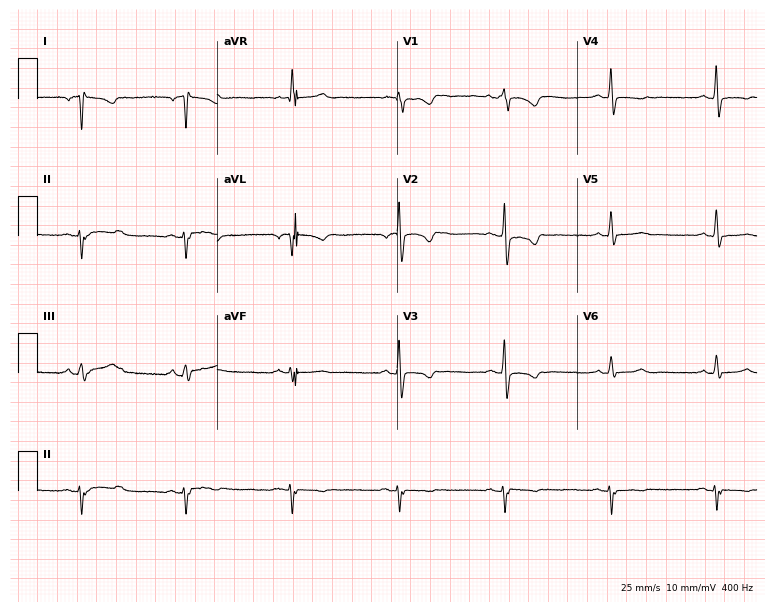
Resting 12-lead electrocardiogram (7.3-second recording at 400 Hz). Patient: a 60-year-old female. None of these six findings is recorded: first-degree AV block, right bundle branch block (RBBB), left bundle branch block (LBBB), sinus bradycardia, atrial fibrillation (AF), sinus tachycardia.